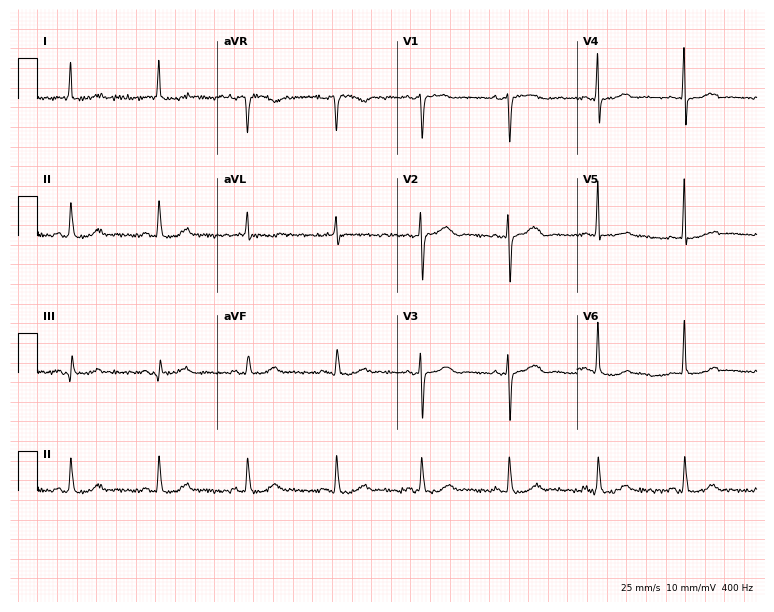
ECG (7.3-second recording at 400 Hz) — an 82-year-old woman. Labelled as a normal ECG.